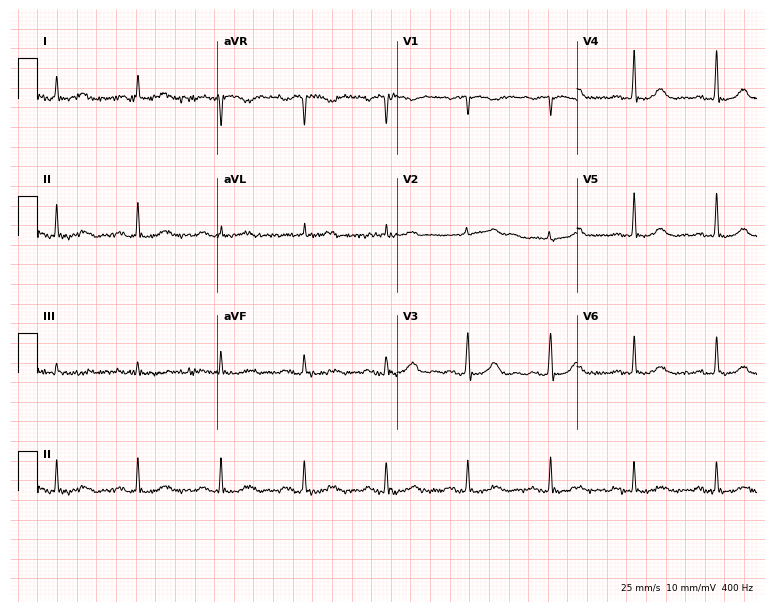
Standard 12-lead ECG recorded from a woman, 42 years old (7.3-second recording at 400 Hz). Read as a normal ECG.